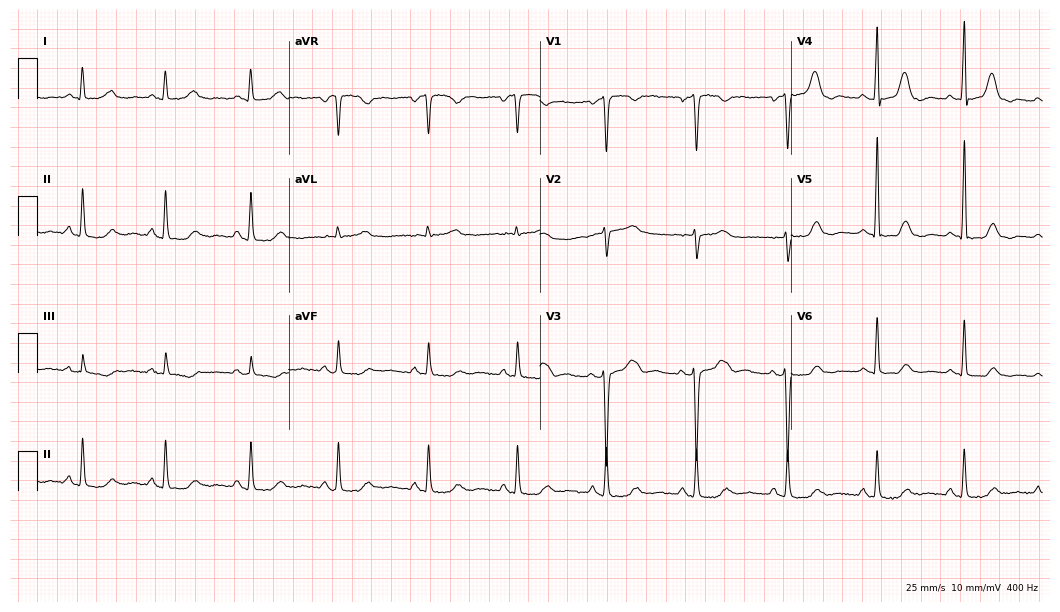
12-lead ECG from a female patient, 45 years old. No first-degree AV block, right bundle branch block, left bundle branch block, sinus bradycardia, atrial fibrillation or sinus tachycardia recorded for this tracing.